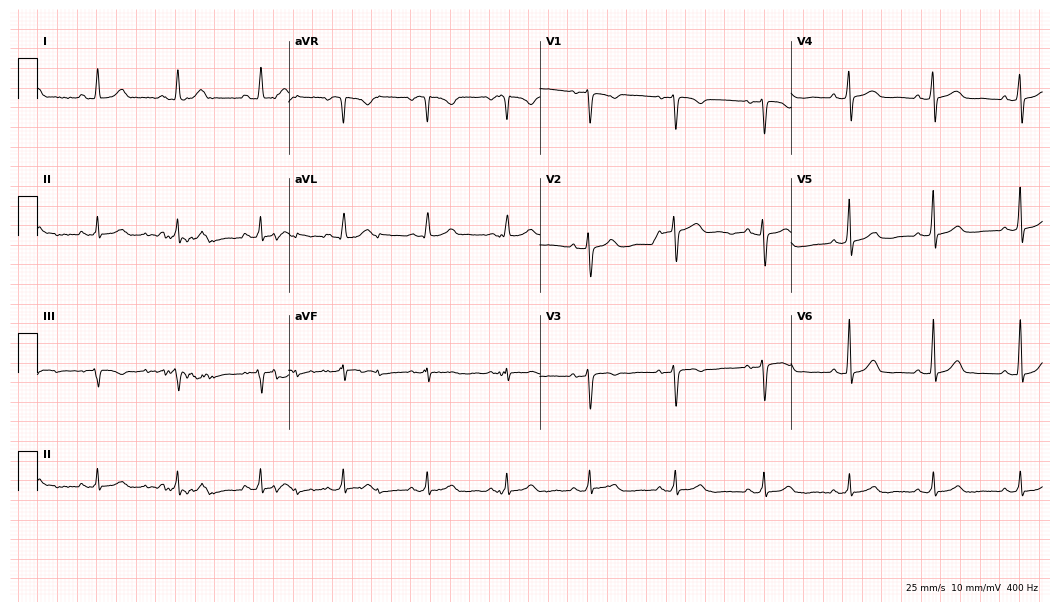
Standard 12-lead ECG recorded from a 50-year-old female. None of these six findings is recorded: first-degree AV block, right bundle branch block, left bundle branch block, sinus bradycardia, atrial fibrillation, sinus tachycardia. Findings outside these six are not listed.